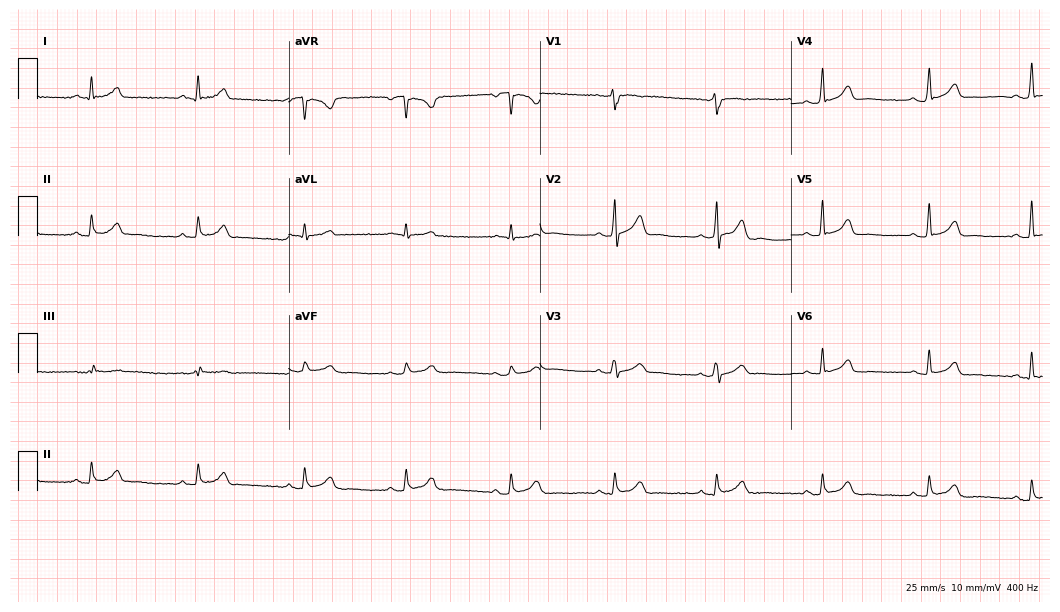
Resting 12-lead electrocardiogram (10.2-second recording at 400 Hz). Patient: a male, 61 years old. Read as a normal ECG.